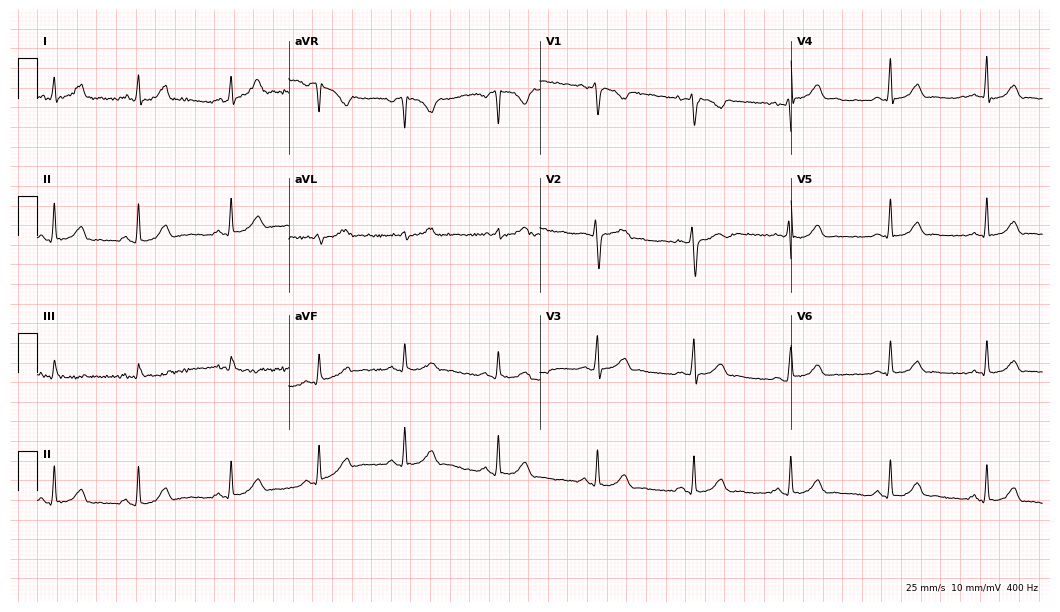
12-lead ECG from a woman, 31 years old. Recorded interpretation: within normal limits.